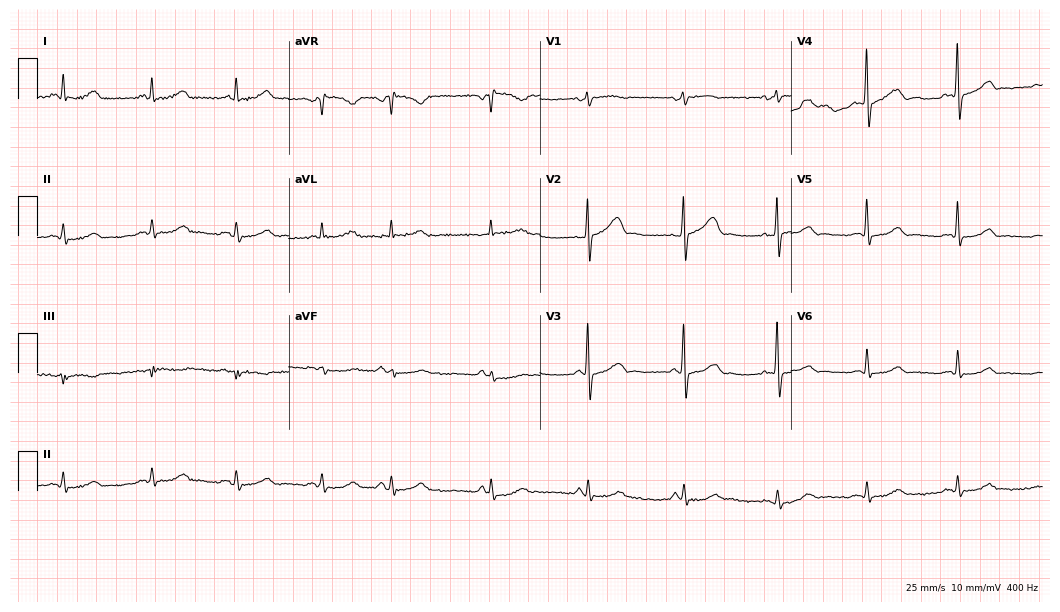
12-lead ECG (10.2-second recording at 400 Hz) from a woman, 66 years old. Labelled as a normal ECG.